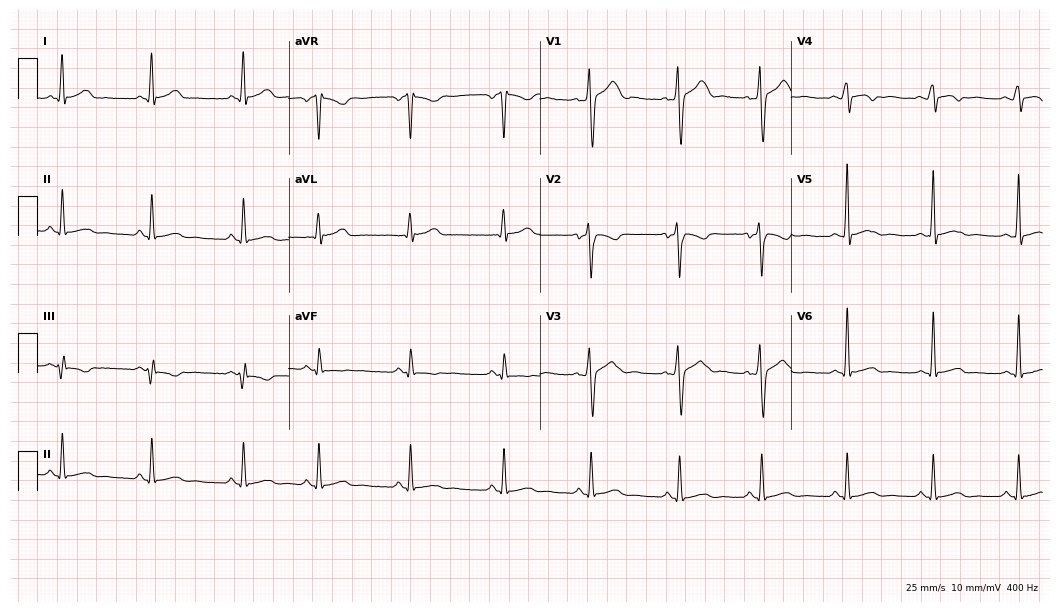
Standard 12-lead ECG recorded from a 40-year-old male (10.2-second recording at 400 Hz). None of these six findings is recorded: first-degree AV block, right bundle branch block, left bundle branch block, sinus bradycardia, atrial fibrillation, sinus tachycardia. Other findings, if any, are not listed.